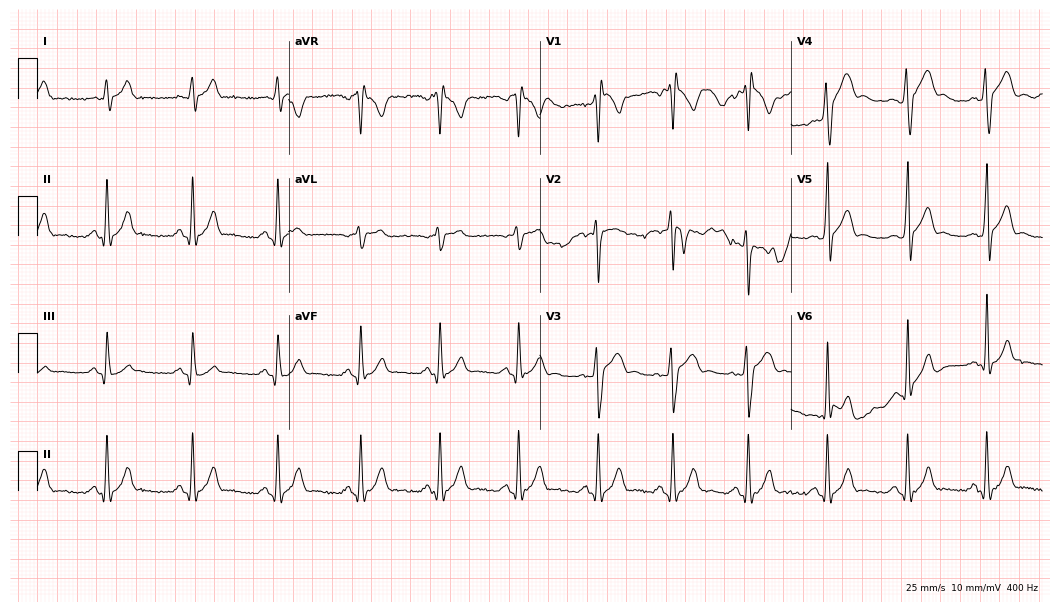
Standard 12-lead ECG recorded from a male patient, 26 years old (10.2-second recording at 400 Hz). None of these six findings is recorded: first-degree AV block, right bundle branch block (RBBB), left bundle branch block (LBBB), sinus bradycardia, atrial fibrillation (AF), sinus tachycardia. Only these six findings were labelled.